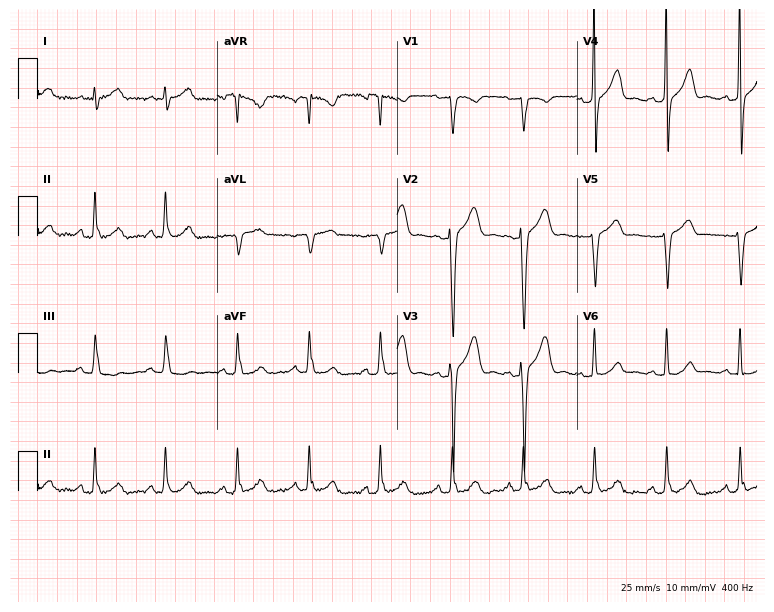
12-lead ECG (7.3-second recording at 400 Hz) from a 33-year-old male. Labelled as a normal ECG.